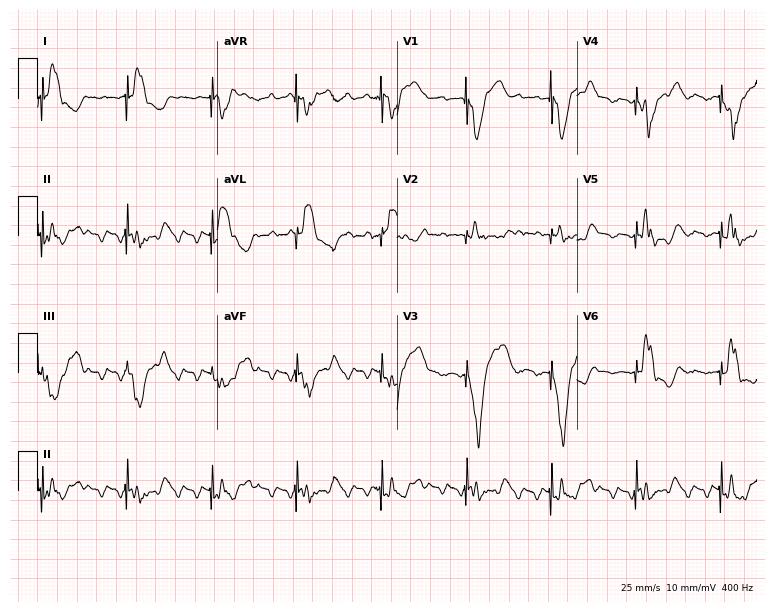
Standard 12-lead ECG recorded from a male, 74 years old. None of these six findings is recorded: first-degree AV block, right bundle branch block, left bundle branch block, sinus bradycardia, atrial fibrillation, sinus tachycardia. Findings outside these six are not listed.